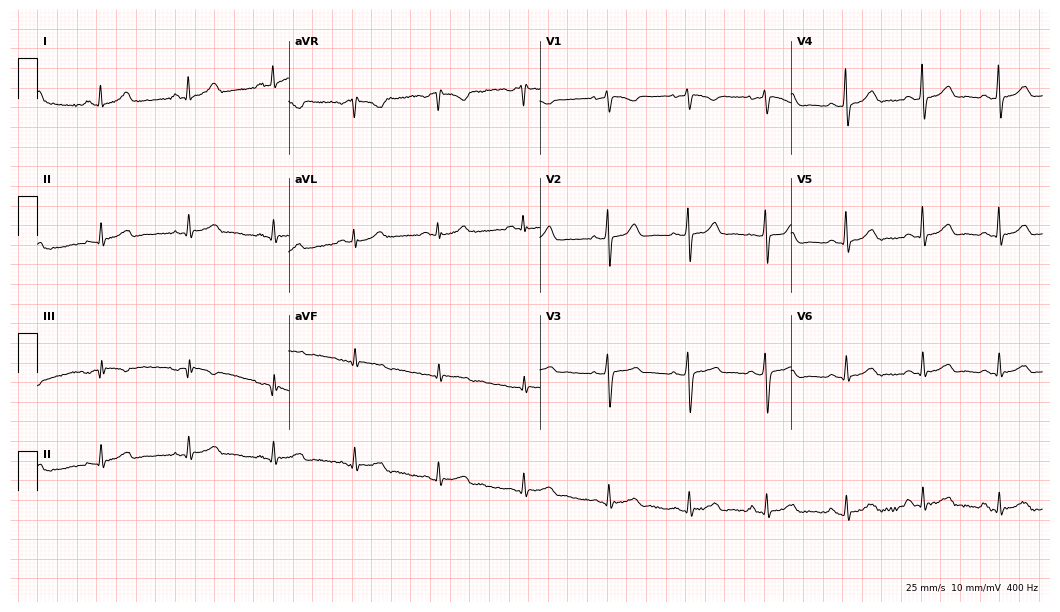
Electrocardiogram, a female patient, 32 years old. Overall reading on record: normal ECG.